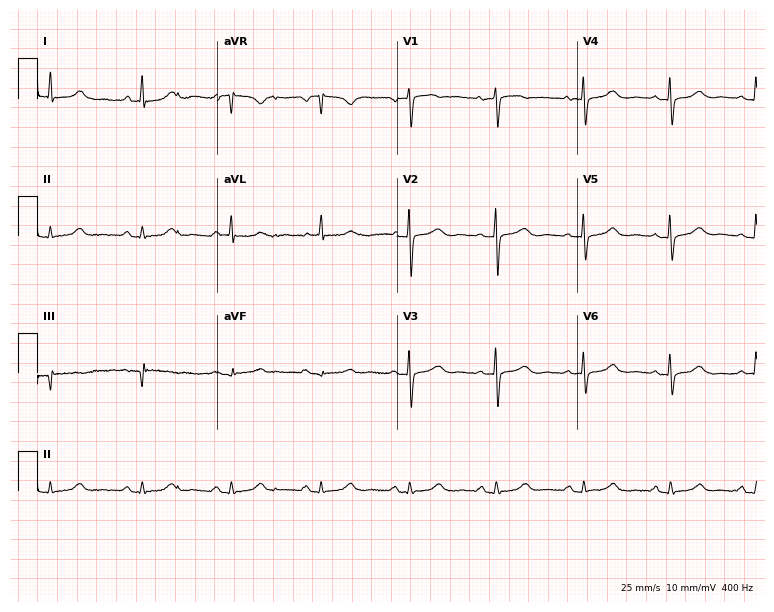
12-lead ECG (7.3-second recording at 400 Hz) from a woman, 72 years old. Labelled as a normal ECG.